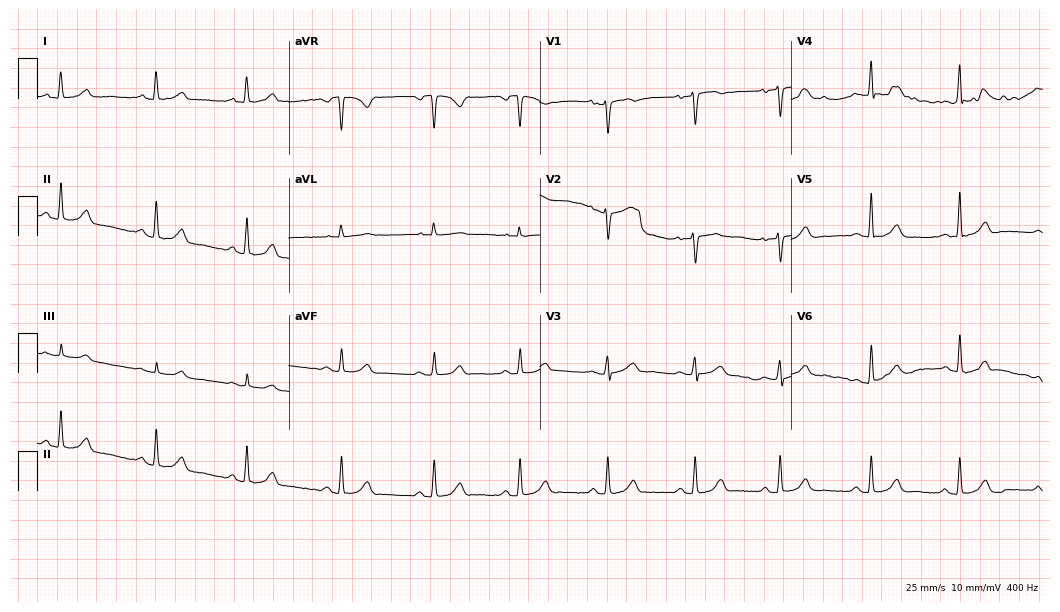
ECG — a woman, 30 years old. Labelled as a normal ECG.